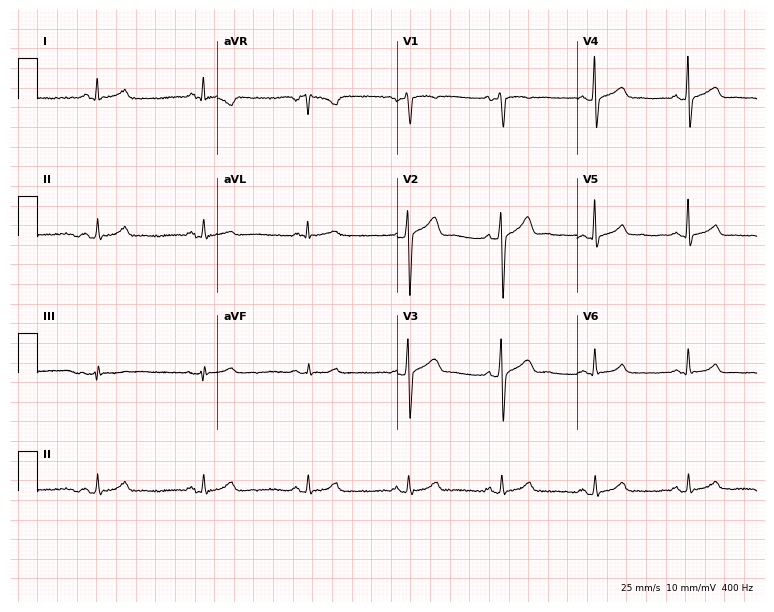
Standard 12-lead ECG recorded from a 45-year-old man. None of these six findings is recorded: first-degree AV block, right bundle branch block, left bundle branch block, sinus bradycardia, atrial fibrillation, sinus tachycardia. Other findings, if any, are not listed.